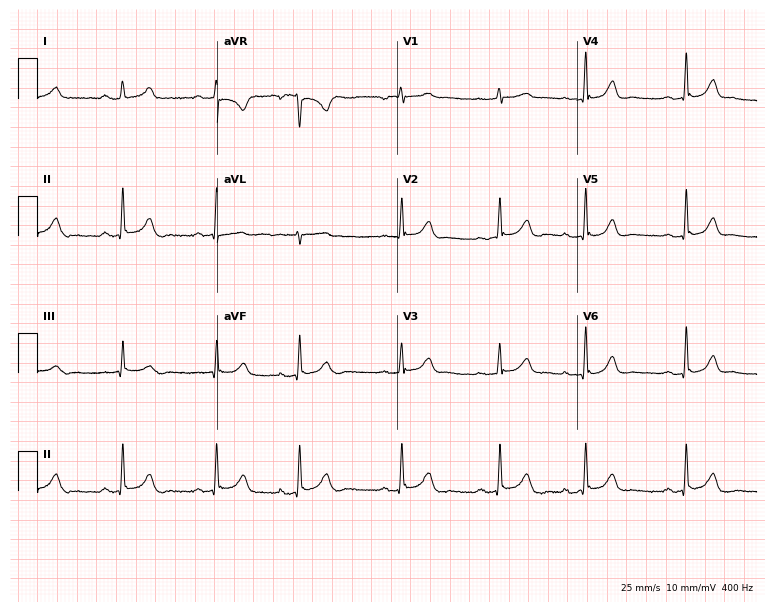
12-lead ECG from a 44-year-old female (7.3-second recording at 400 Hz). Recorded interpretation: within normal limits.